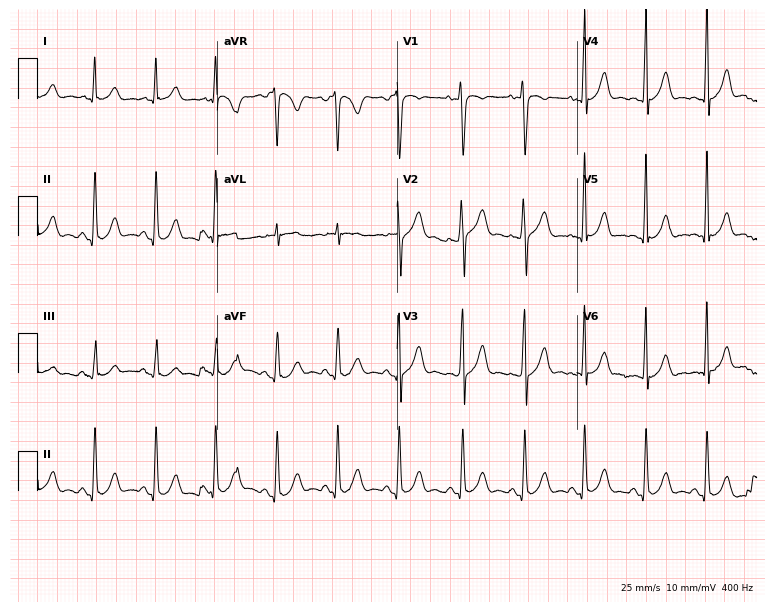
ECG — a man, 17 years old. Labelled as a normal ECG.